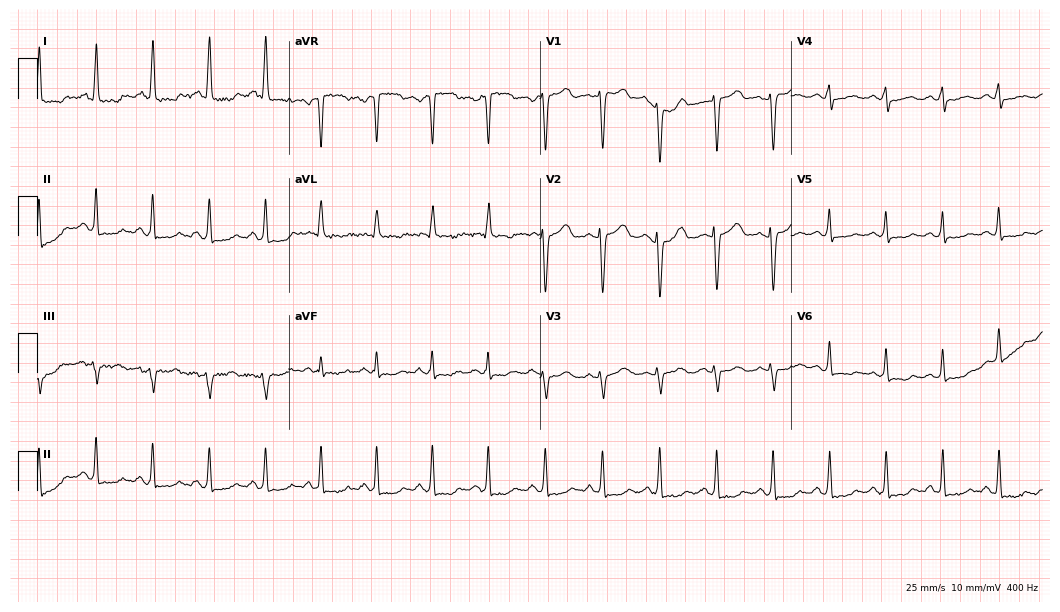
Standard 12-lead ECG recorded from a 66-year-old woman. The tracing shows sinus tachycardia (a sinus rate of 100 beats per minute or more).